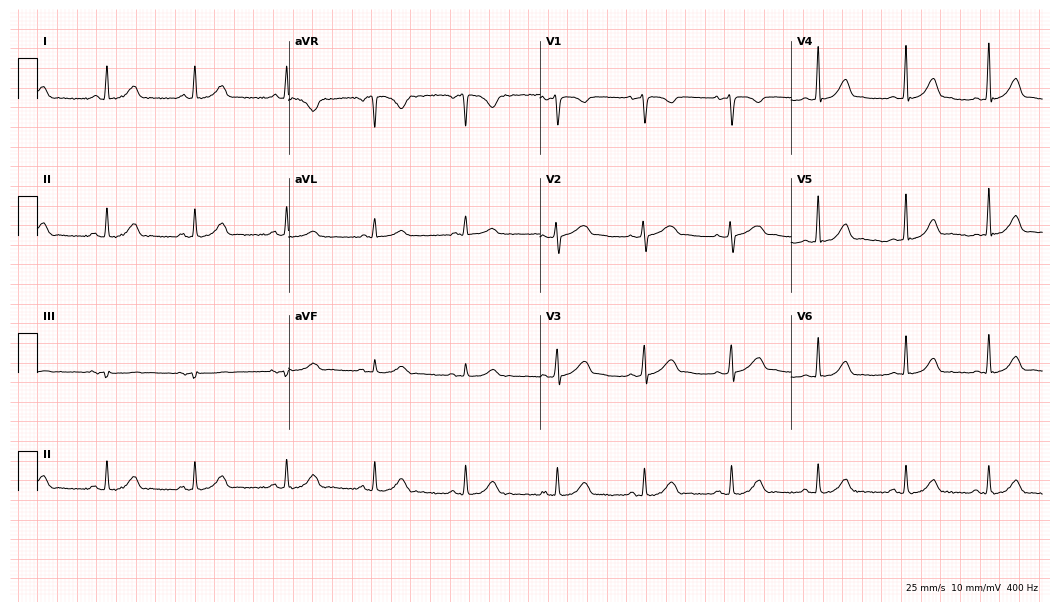
Standard 12-lead ECG recorded from a 54-year-old female (10.2-second recording at 400 Hz). Read as a normal ECG.